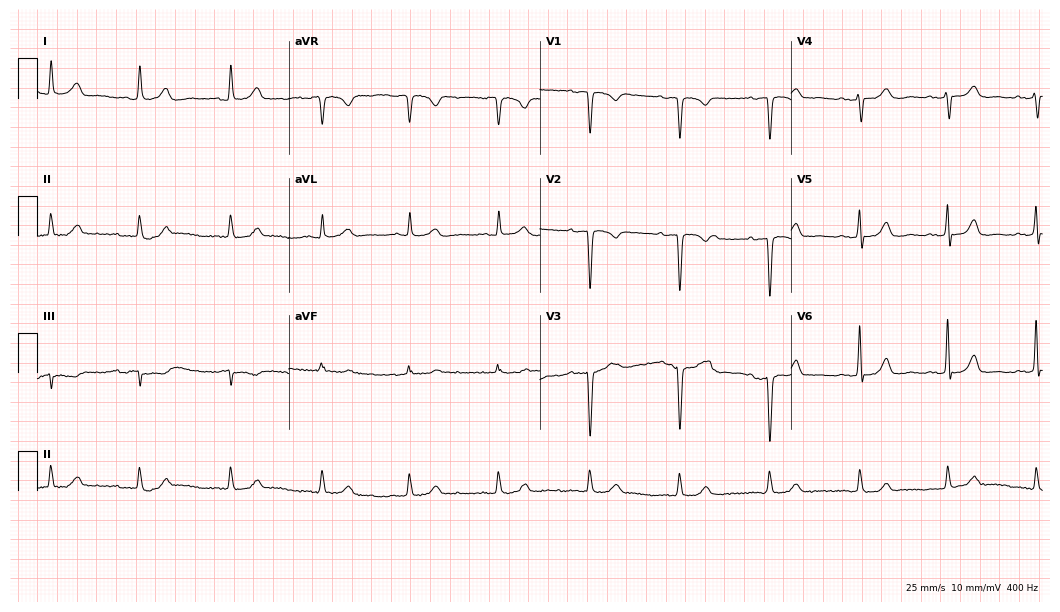
12-lead ECG from a 54-year-old female (10.2-second recording at 400 Hz). Recorded interpretation: within normal limits.